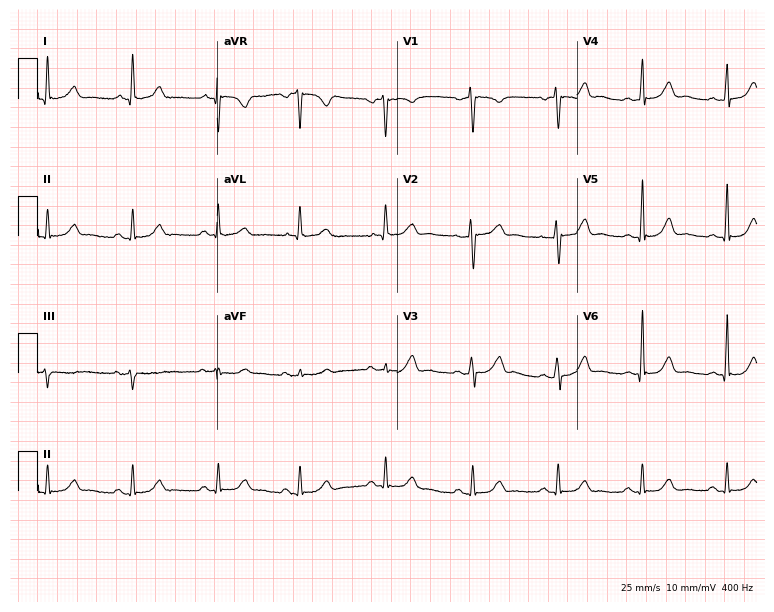
12-lead ECG from a 42-year-old male patient. Recorded interpretation: within normal limits.